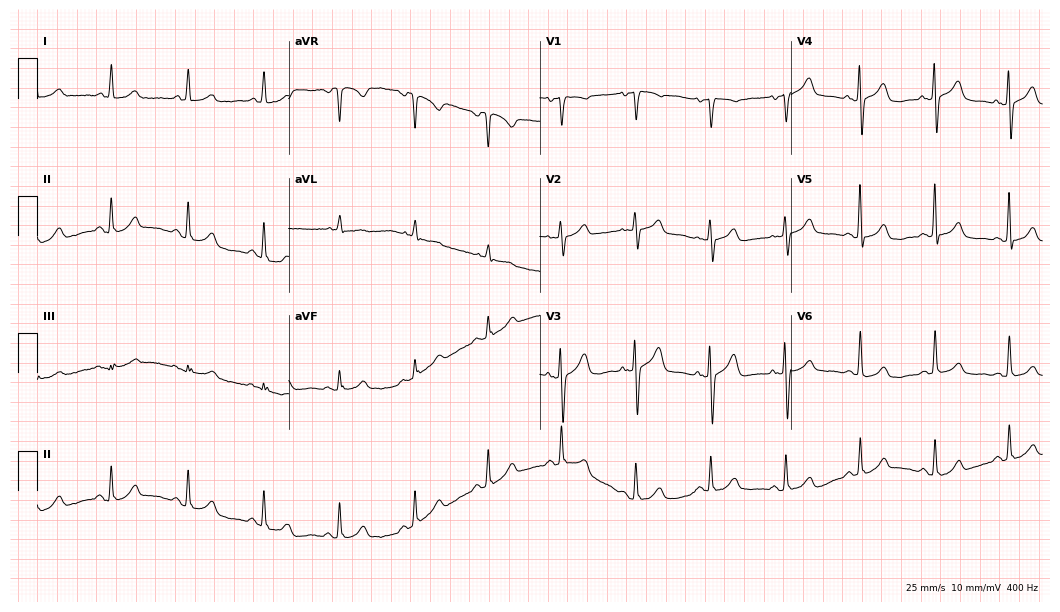
ECG — a 66-year-old female. Labelled as a normal ECG.